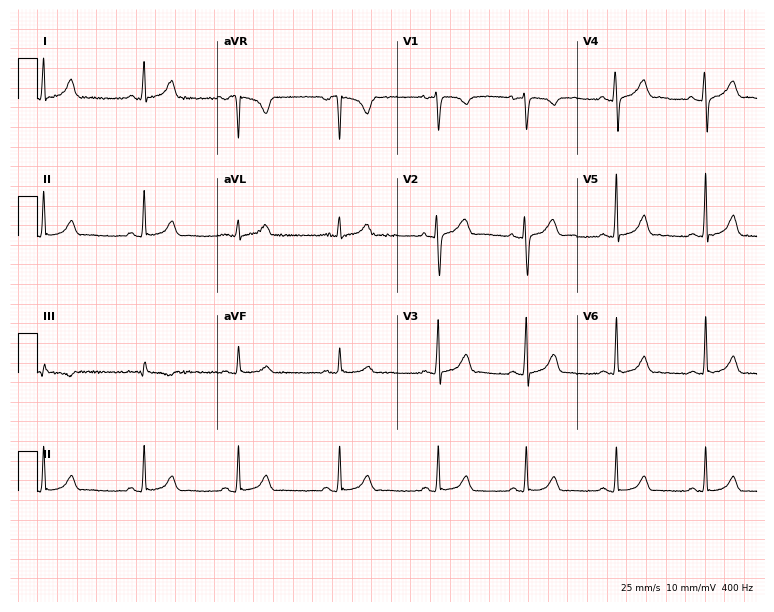
Standard 12-lead ECG recorded from a 31-year-old female patient. Read as a normal ECG.